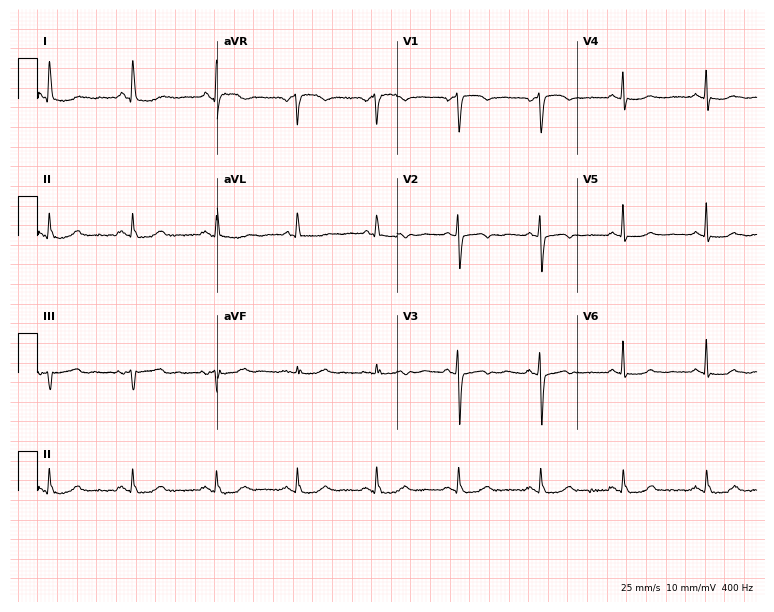
12-lead ECG from a 64-year-old female. Screened for six findings — first-degree AV block, right bundle branch block, left bundle branch block, sinus bradycardia, atrial fibrillation, sinus tachycardia — none is recorded. Only these six findings were labelled.